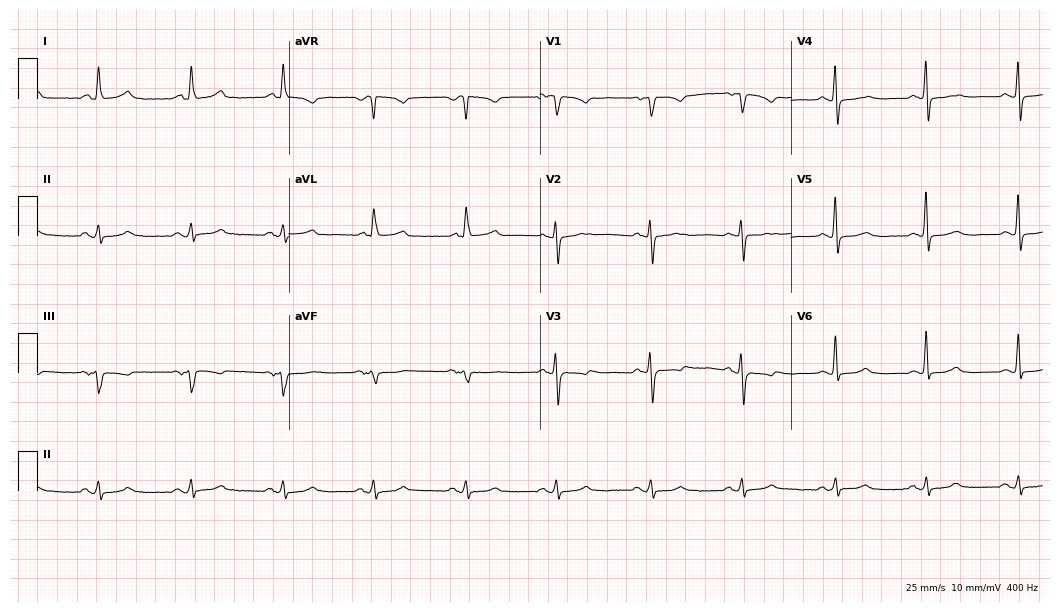
12-lead ECG (10.2-second recording at 400 Hz) from a 68-year-old woman. Screened for six findings — first-degree AV block, right bundle branch block, left bundle branch block, sinus bradycardia, atrial fibrillation, sinus tachycardia — none is recorded. Other findings, if any, are not listed.